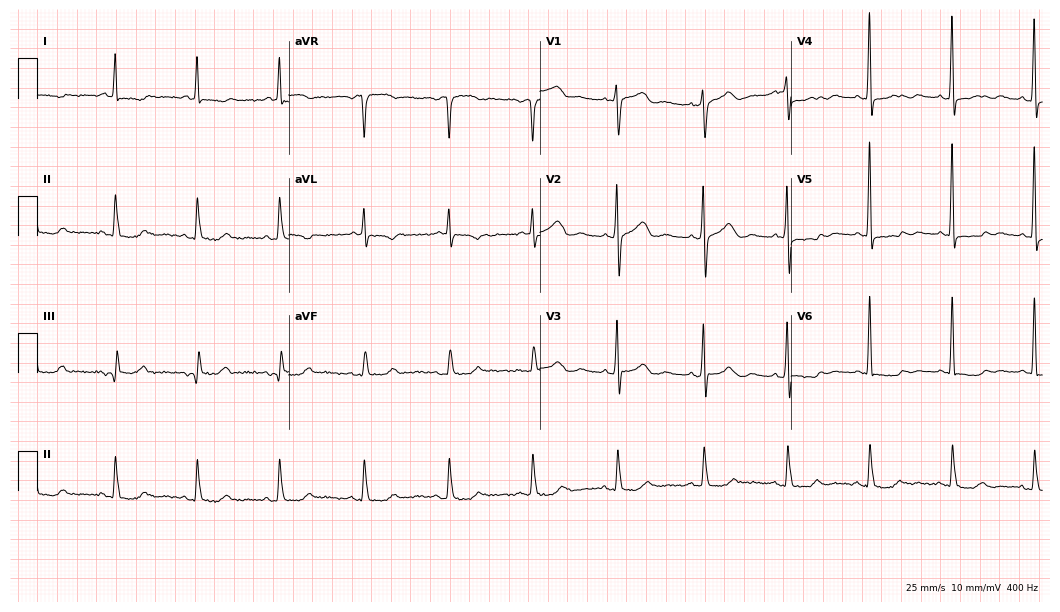
ECG (10.2-second recording at 400 Hz) — a 56-year-old female. Screened for six findings — first-degree AV block, right bundle branch block, left bundle branch block, sinus bradycardia, atrial fibrillation, sinus tachycardia — none is recorded.